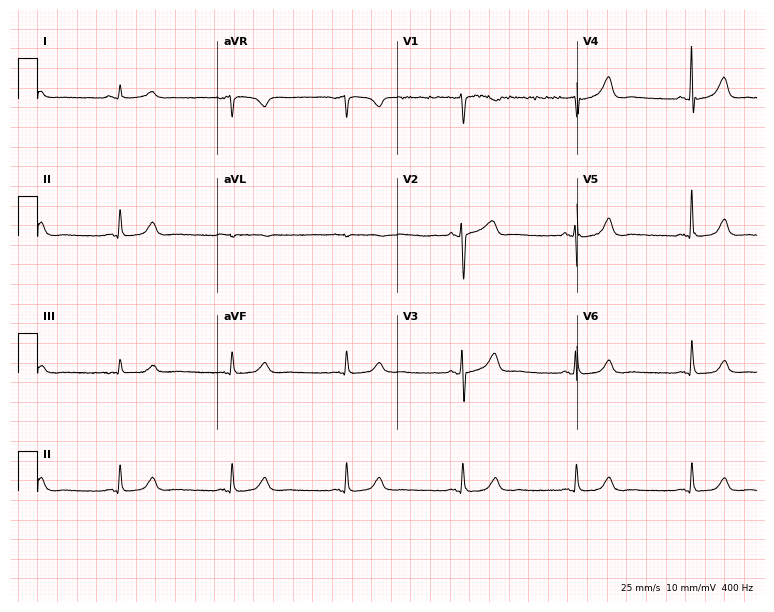
Standard 12-lead ECG recorded from a woman, 55 years old (7.3-second recording at 400 Hz). Read as a normal ECG.